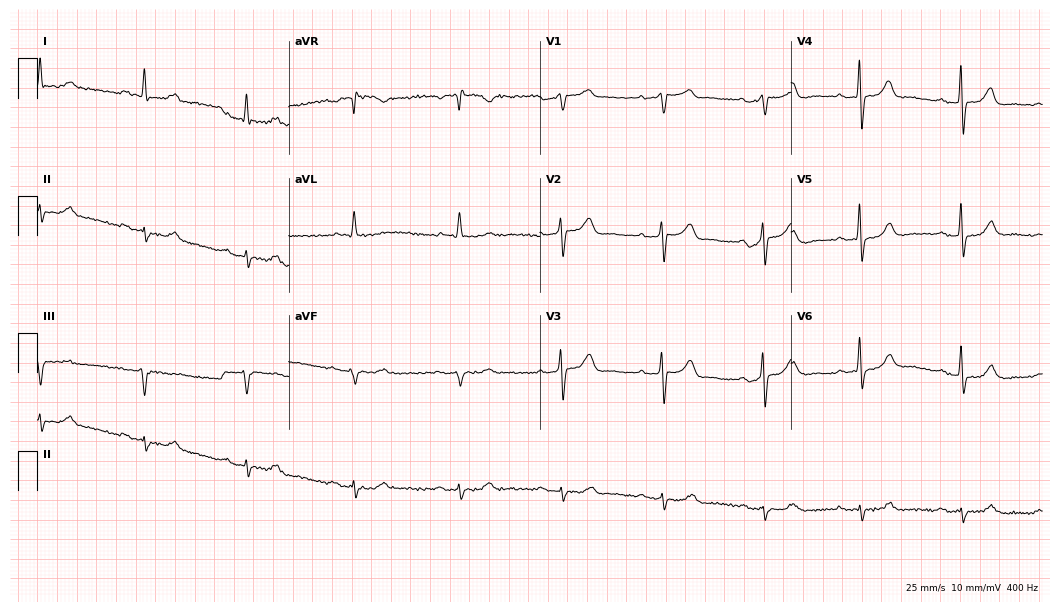
12-lead ECG from a male patient, 83 years old (10.2-second recording at 400 Hz). Shows first-degree AV block.